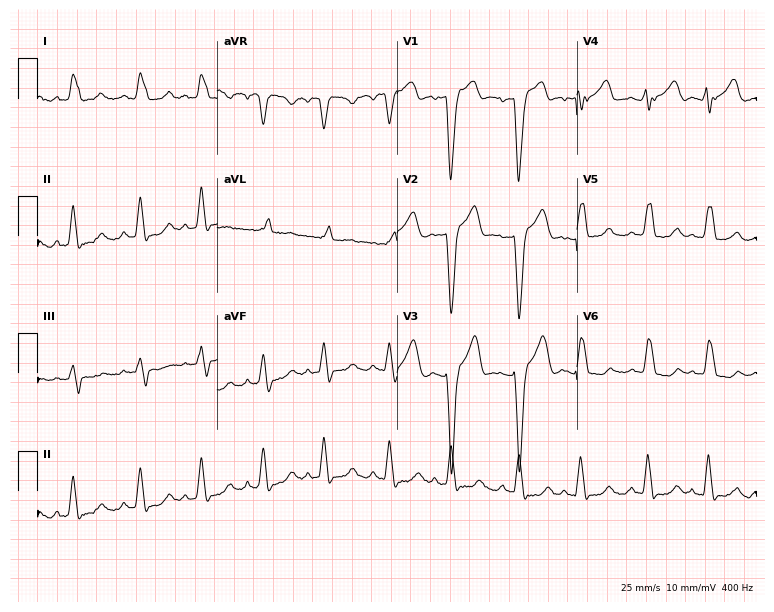
12-lead ECG from a 40-year-old woman (7.3-second recording at 400 Hz). Shows left bundle branch block (LBBB).